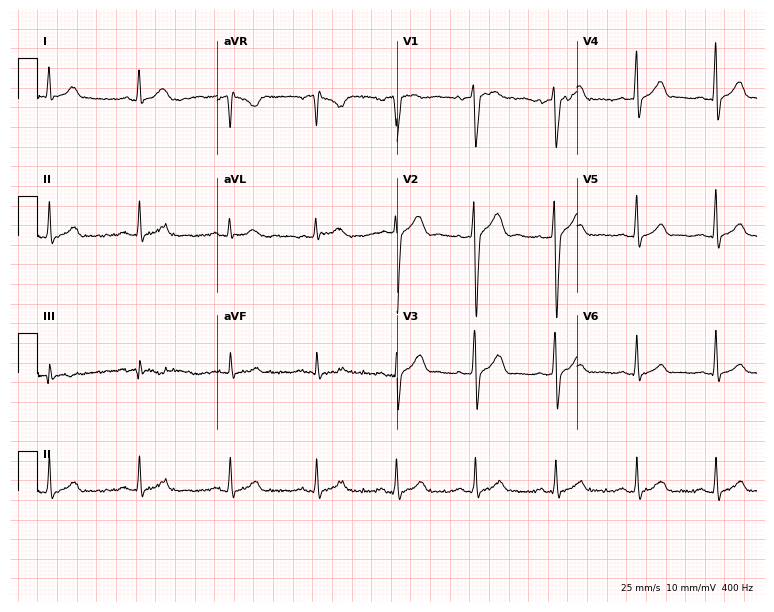
12-lead ECG from a 34-year-old man (7.3-second recording at 400 Hz). Recorded interpretation: within normal limits.